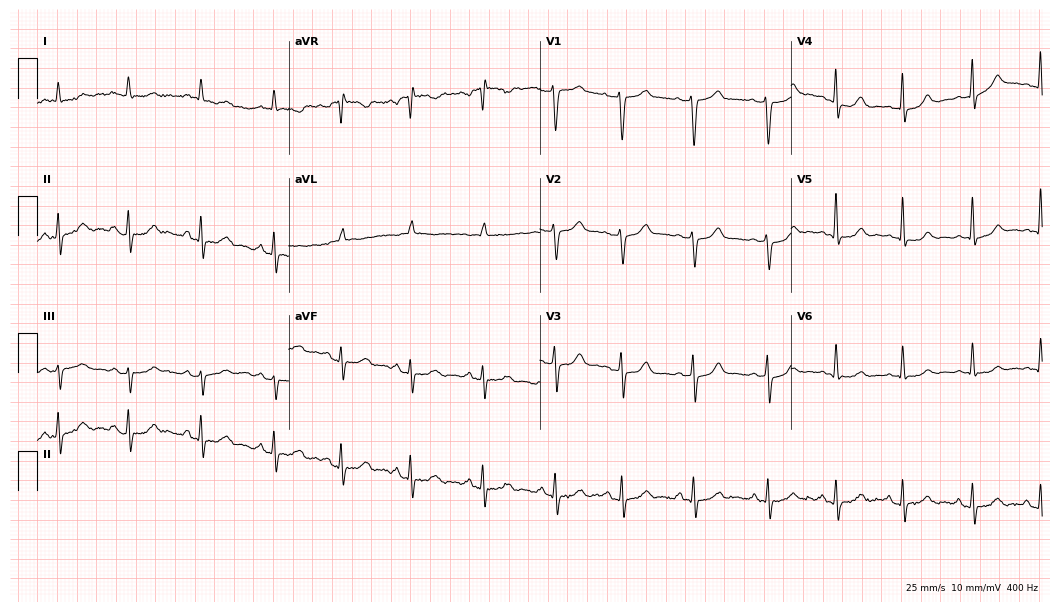
Standard 12-lead ECG recorded from a 64-year-old man (10.2-second recording at 400 Hz). None of these six findings is recorded: first-degree AV block, right bundle branch block, left bundle branch block, sinus bradycardia, atrial fibrillation, sinus tachycardia. Other findings, if any, are not listed.